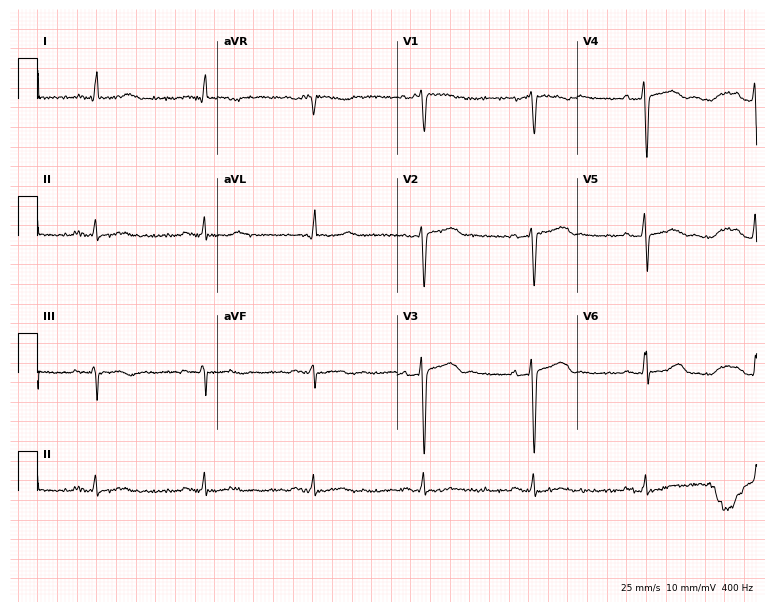
ECG (7.3-second recording at 400 Hz) — a 73-year-old man. Screened for six findings — first-degree AV block, right bundle branch block, left bundle branch block, sinus bradycardia, atrial fibrillation, sinus tachycardia — none is recorded.